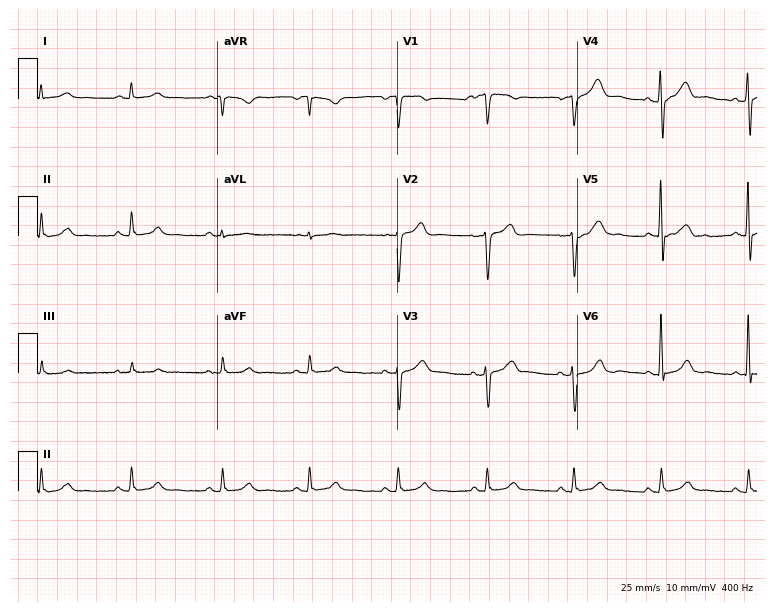
ECG — a 56-year-old male patient. Labelled as a normal ECG.